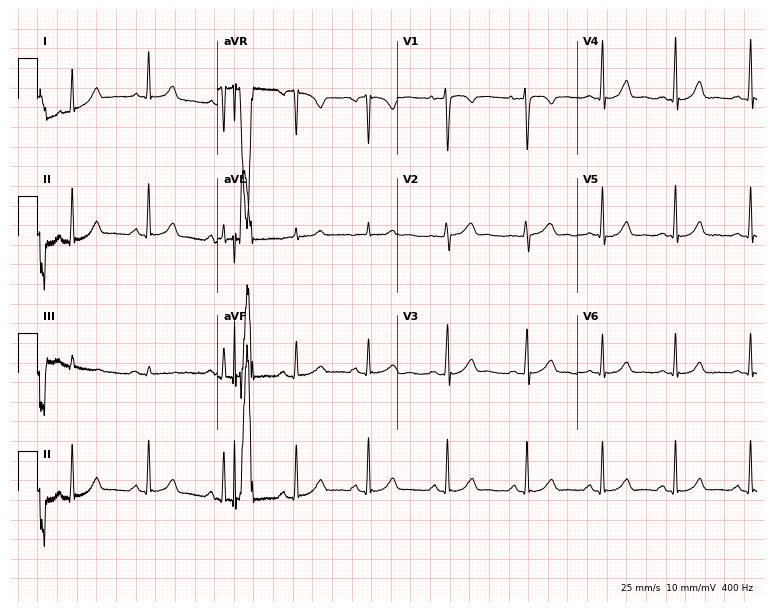
12-lead ECG from a woman, 25 years old. Labelled as a normal ECG.